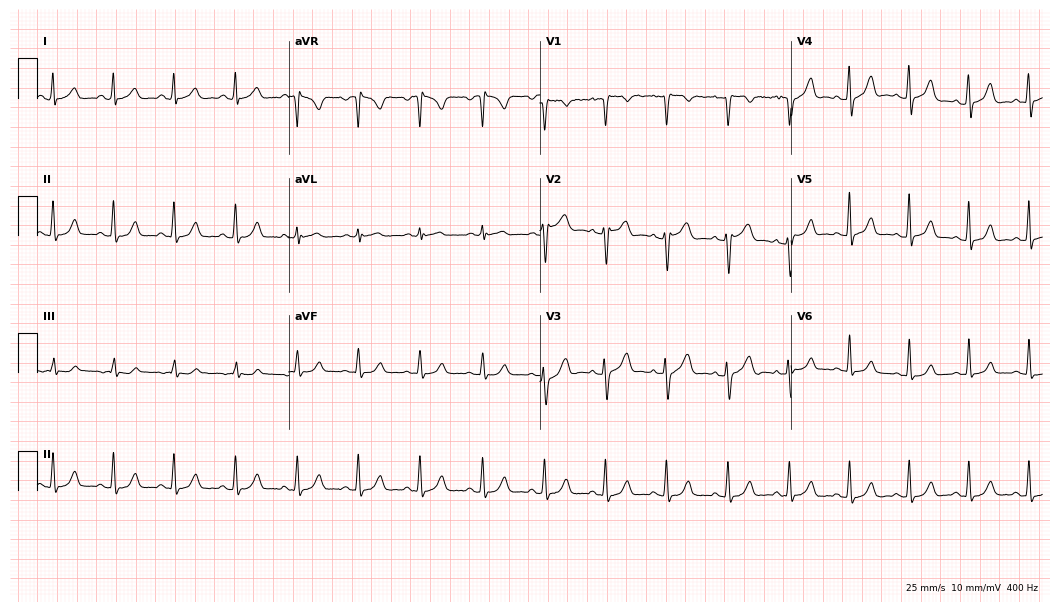
Electrocardiogram (10.2-second recording at 400 Hz), a 23-year-old female. Overall reading on record: normal ECG.